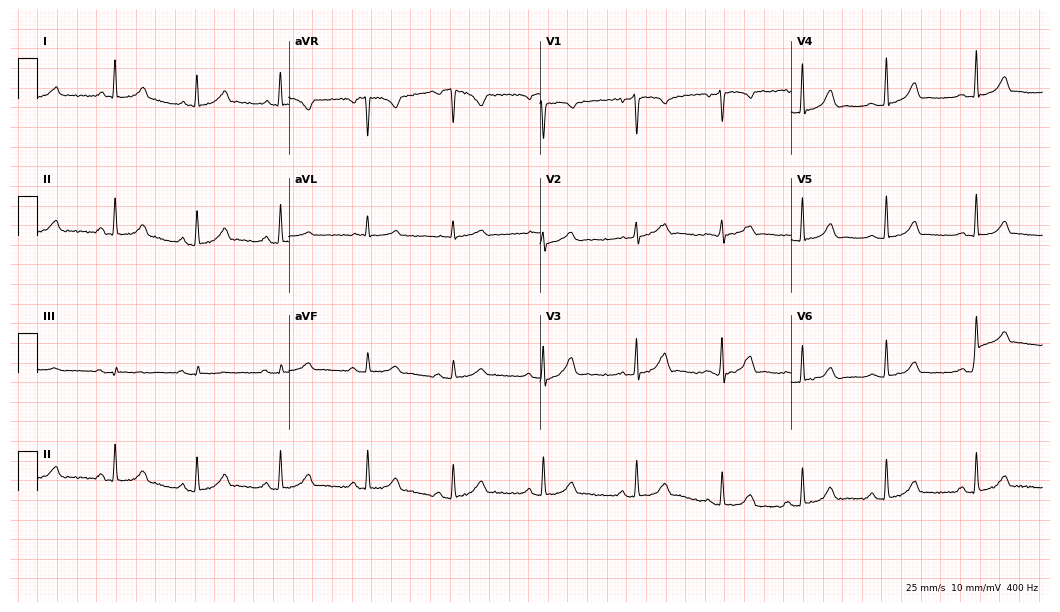
Standard 12-lead ECG recorded from a 25-year-old woman. Read as a normal ECG.